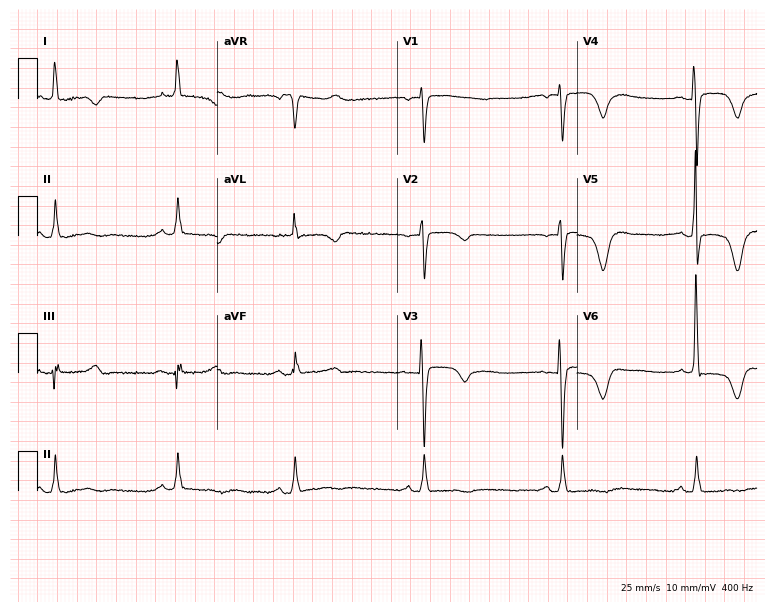
Electrocardiogram, an 80-year-old female patient. Interpretation includes sinus bradycardia (a sinus rate of 50 beats per minute or less).